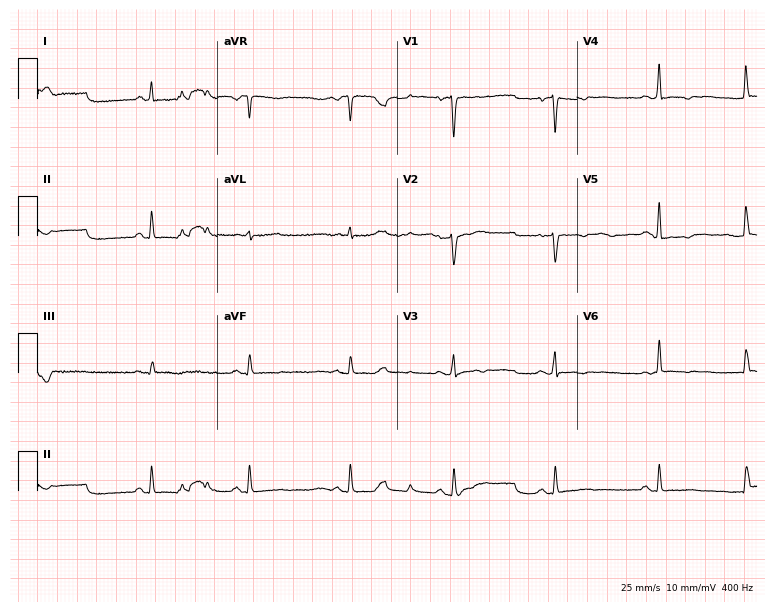
12-lead ECG from a 43-year-old female patient (7.3-second recording at 400 Hz). No first-degree AV block, right bundle branch block, left bundle branch block, sinus bradycardia, atrial fibrillation or sinus tachycardia recorded for this tracing.